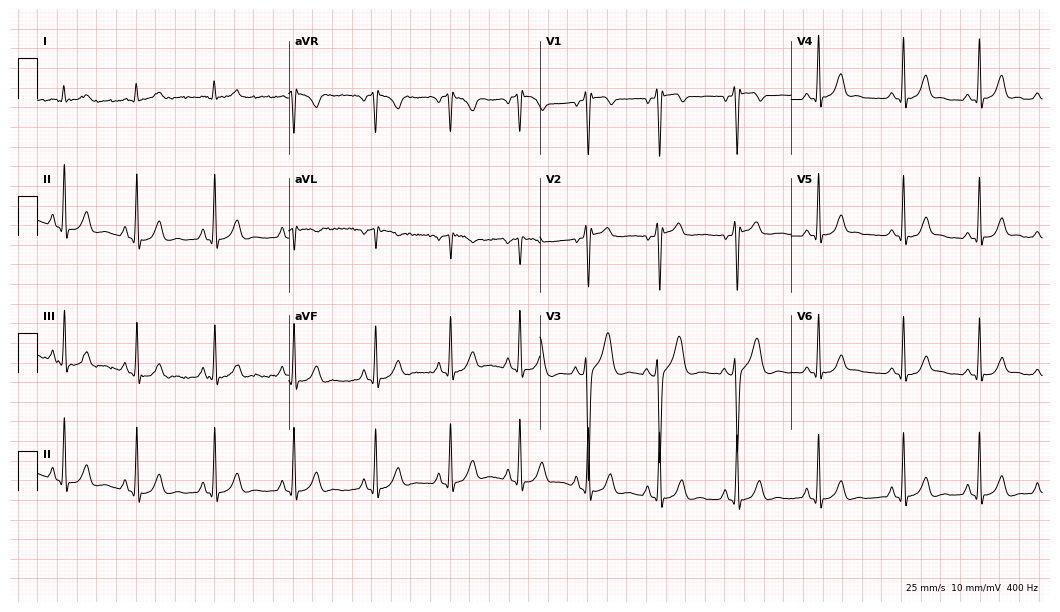
Electrocardiogram (10.2-second recording at 400 Hz), a 40-year-old man. Overall reading on record: normal ECG.